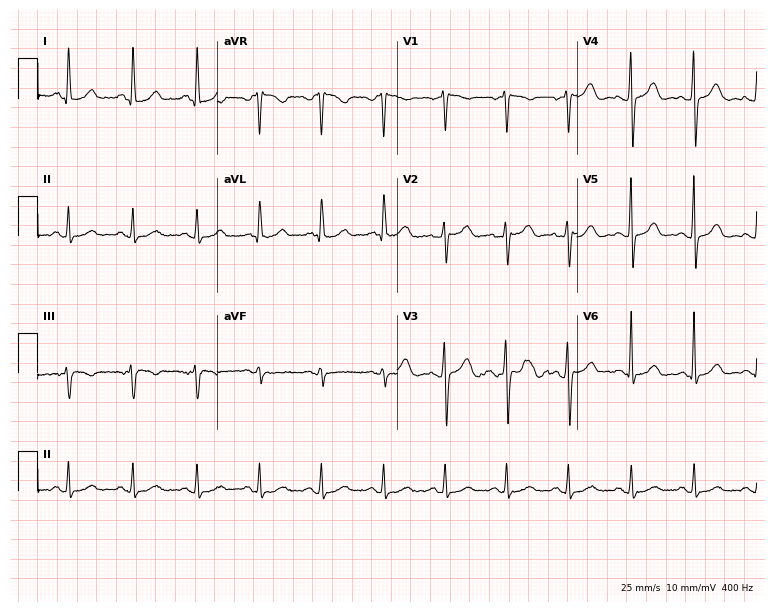
12-lead ECG from a 42-year-old woman. Screened for six findings — first-degree AV block, right bundle branch block, left bundle branch block, sinus bradycardia, atrial fibrillation, sinus tachycardia — none is recorded. Other findings, if any, are not listed.